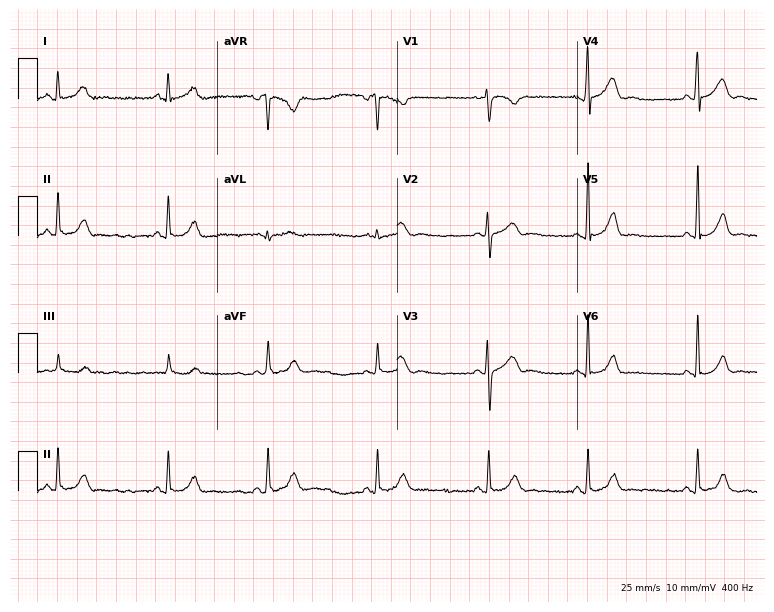
Standard 12-lead ECG recorded from a 21-year-old female (7.3-second recording at 400 Hz). Read as a normal ECG.